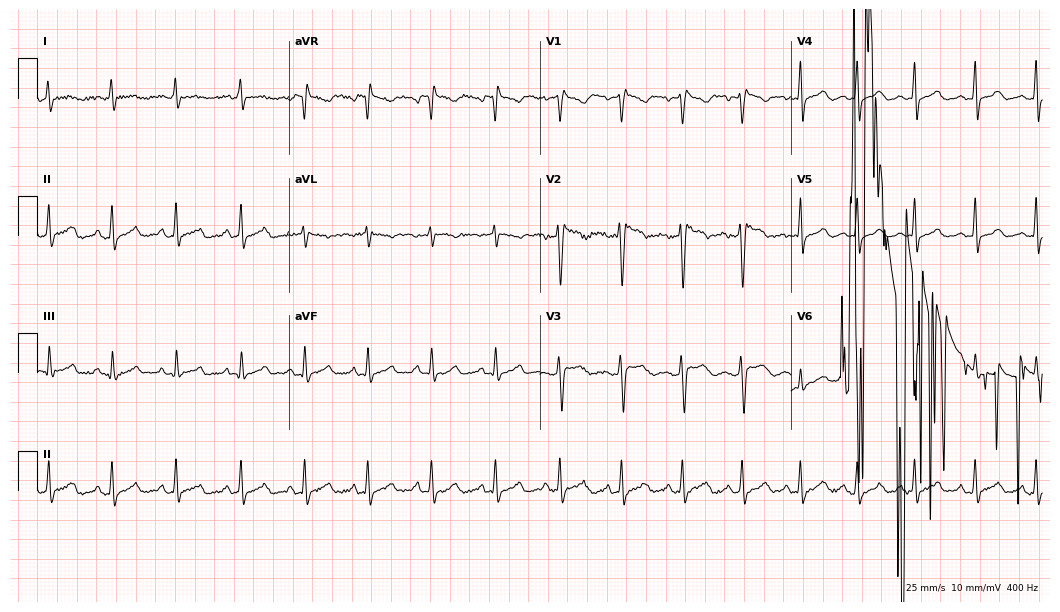
12-lead ECG (10.2-second recording at 400 Hz) from a woman, 21 years old. Screened for six findings — first-degree AV block, right bundle branch block (RBBB), left bundle branch block (LBBB), sinus bradycardia, atrial fibrillation (AF), sinus tachycardia — none is recorded.